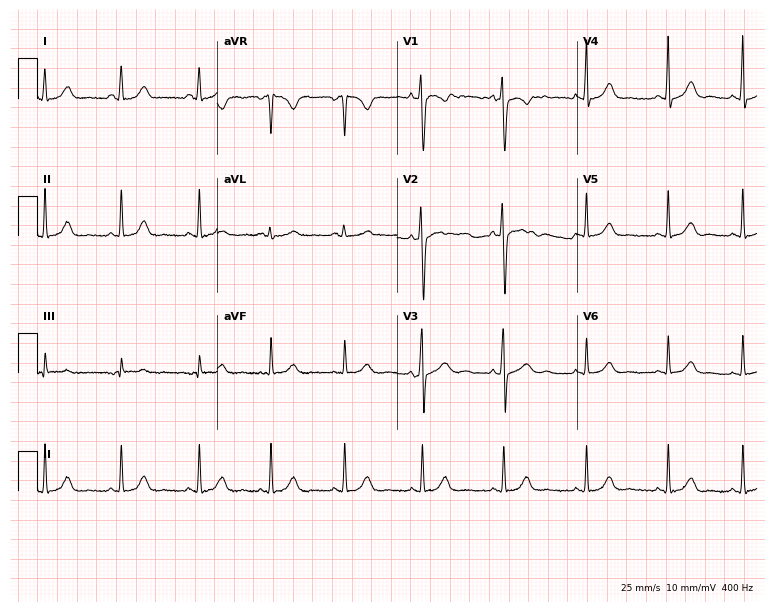
Resting 12-lead electrocardiogram. Patient: a 29-year-old female. None of these six findings is recorded: first-degree AV block, right bundle branch block, left bundle branch block, sinus bradycardia, atrial fibrillation, sinus tachycardia. Other findings, if any, are not listed.